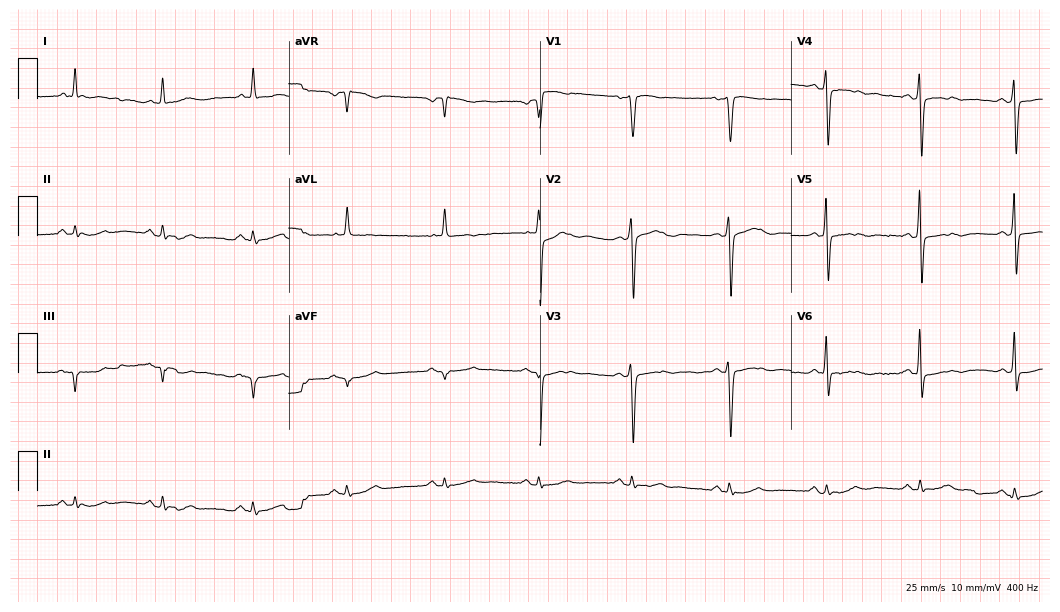
Electrocardiogram, a woman, 63 years old. Overall reading on record: normal ECG.